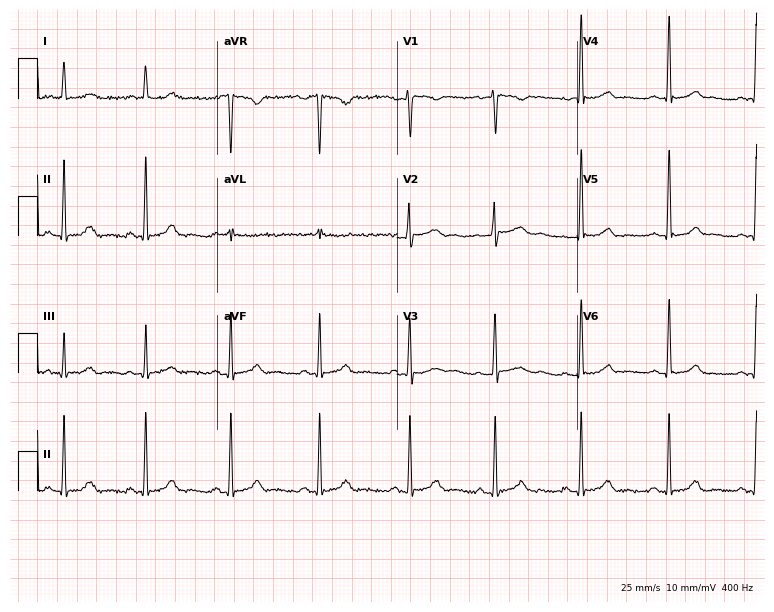
ECG (7.3-second recording at 400 Hz) — a woman, 47 years old. Labelled as a normal ECG.